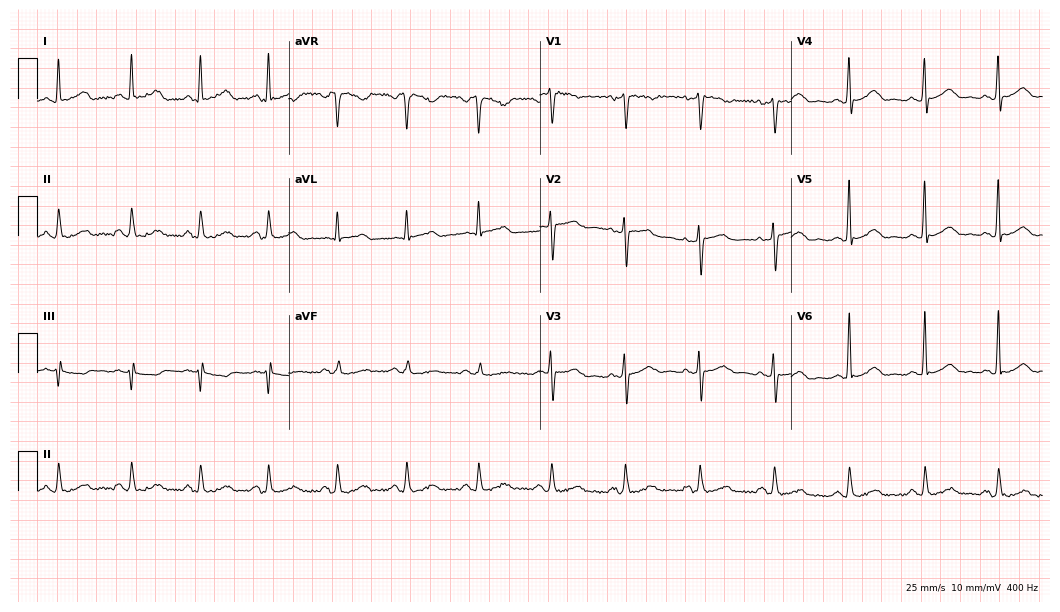
12-lead ECG from a female, 45 years old. Recorded interpretation: within normal limits.